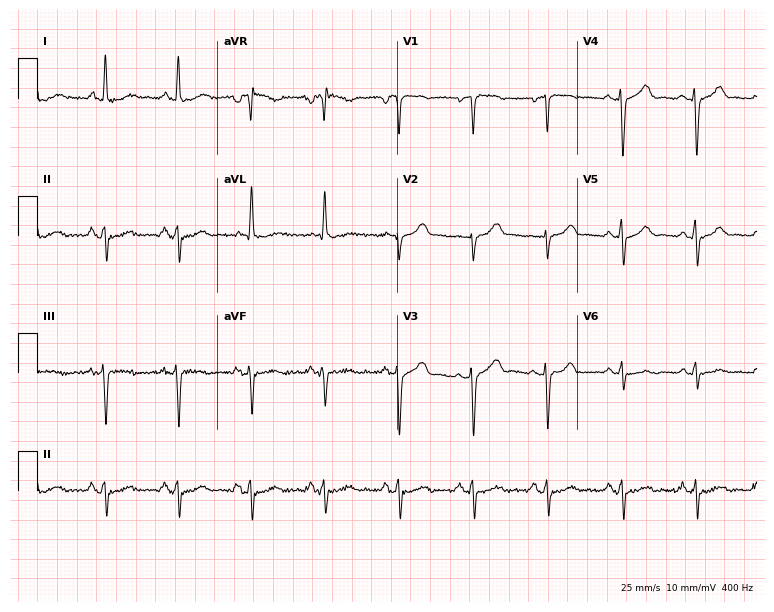
Resting 12-lead electrocardiogram. Patient: a woman, 56 years old. None of these six findings is recorded: first-degree AV block, right bundle branch block (RBBB), left bundle branch block (LBBB), sinus bradycardia, atrial fibrillation (AF), sinus tachycardia. Findings outside these six are not listed.